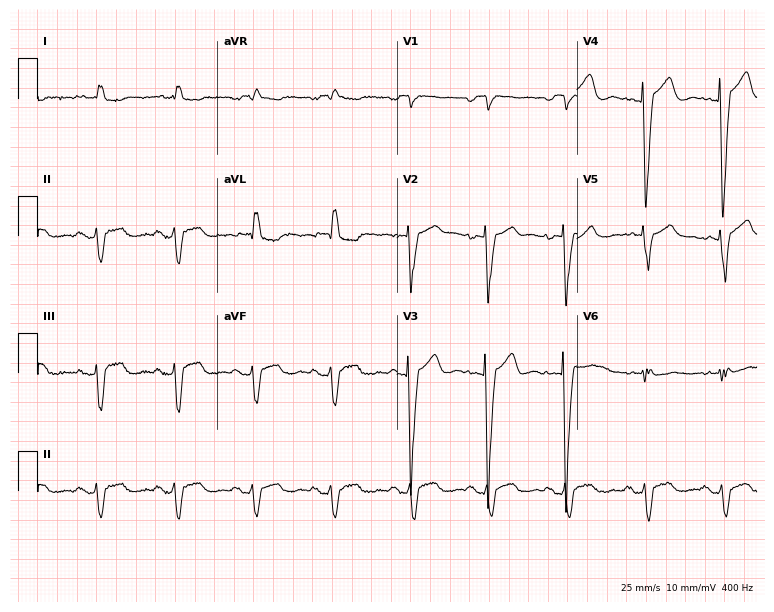
12-lead ECG (7.3-second recording at 400 Hz) from a woman, 79 years old. Findings include left bundle branch block.